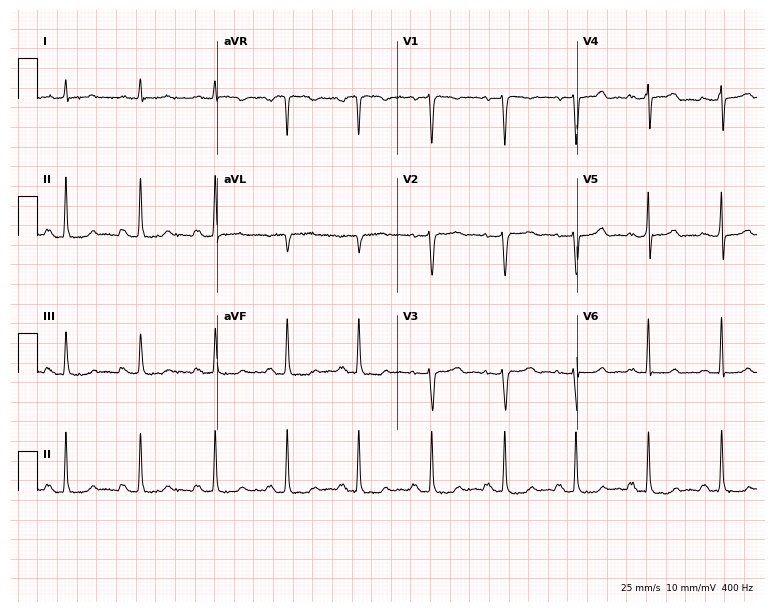
ECG — a female, 44 years old. Screened for six findings — first-degree AV block, right bundle branch block, left bundle branch block, sinus bradycardia, atrial fibrillation, sinus tachycardia — none is recorded.